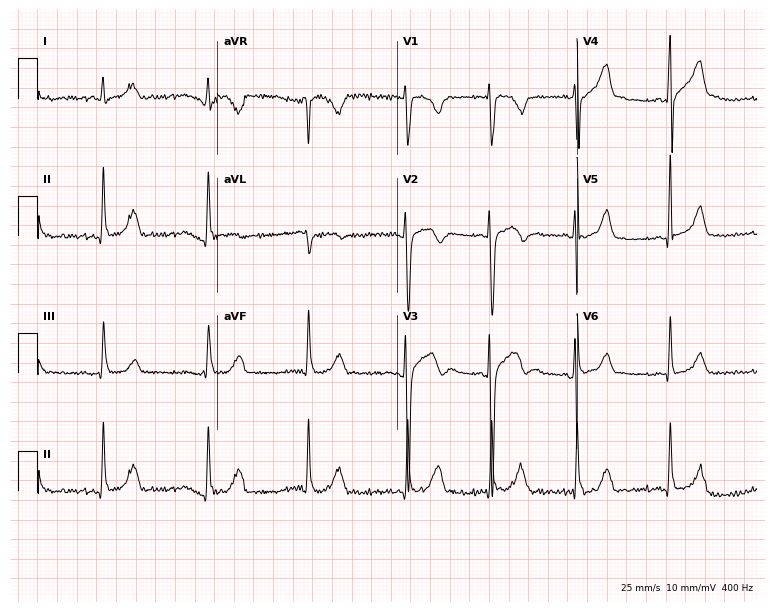
Resting 12-lead electrocardiogram. Patient: a male, 23 years old. None of these six findings is recorded: first-degree AV block, right bundle branch block, left bundle branch block, sinus bradycardia, atrial fibrillation, sinus tachycardia. Other findings, if any, are not listed.